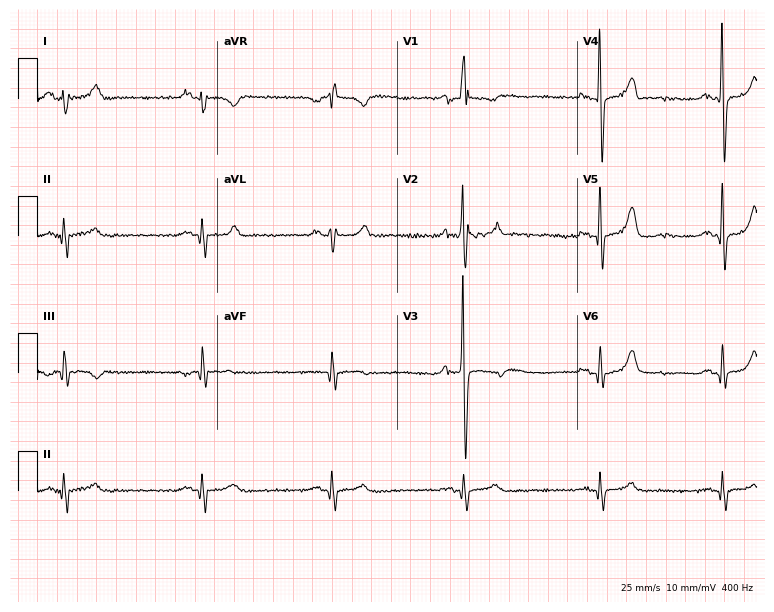
12-lead ECG from a 30-year-old male patient. Shows right bundle branch block (RBBB).